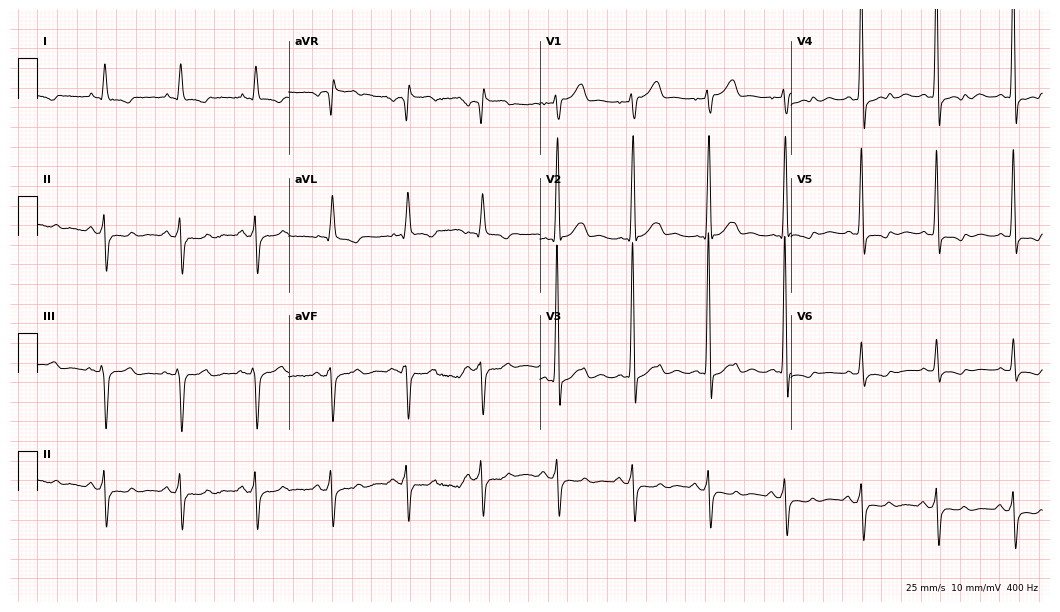
Resting 12-lead electrocardiogram (10.2-second recording at 400 Hz). Patient: a male, 60 years old. None of these six findings is recorded: first-degree AV block, right bundle branch block, left bundle branch block, sinus bradycardia, atrial fibrillation, sinus tachycardia. Findings outside these six are not listed.